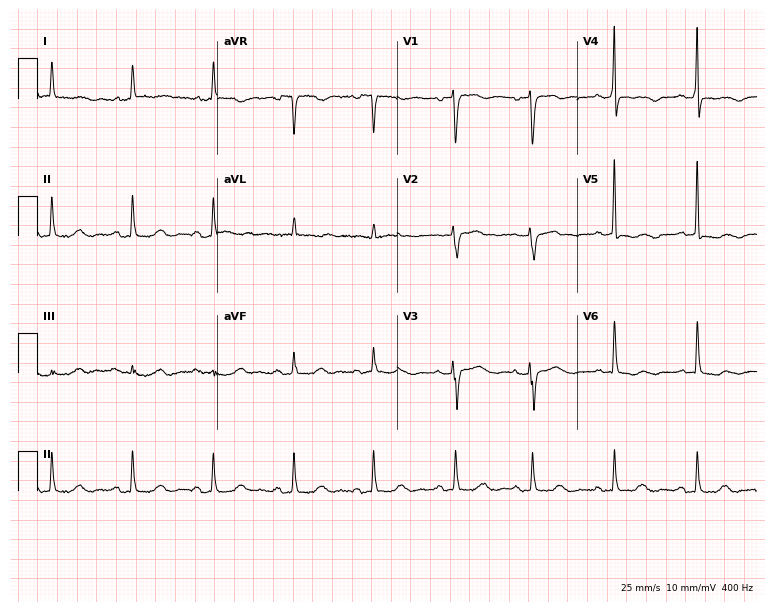
Standard 12-lead ECG recorded from a female, 69 years old (7.3-second recording at 400 Hz). Read as a normal ECG.